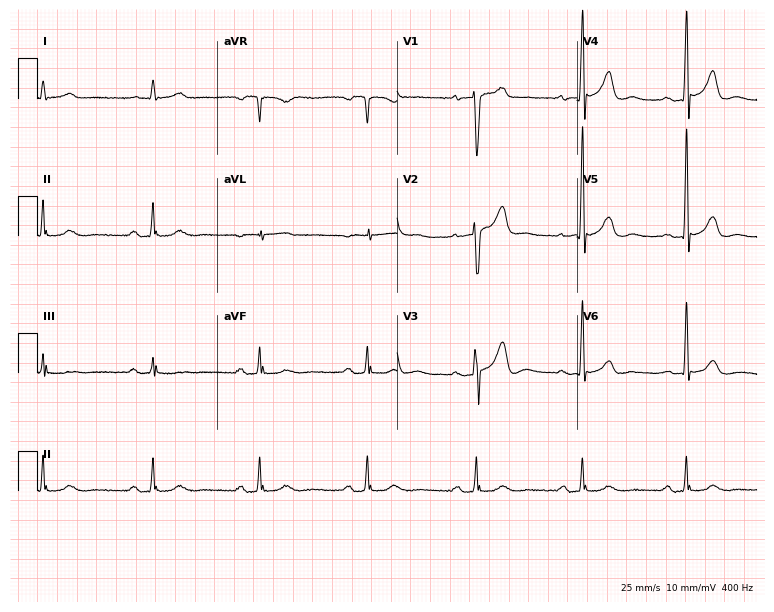
Resting 12-lead electrocardiogram (7.3-second recording at 400 Hz). Patient: a woman, 79 years old. The tracing shows first-degree AV block.